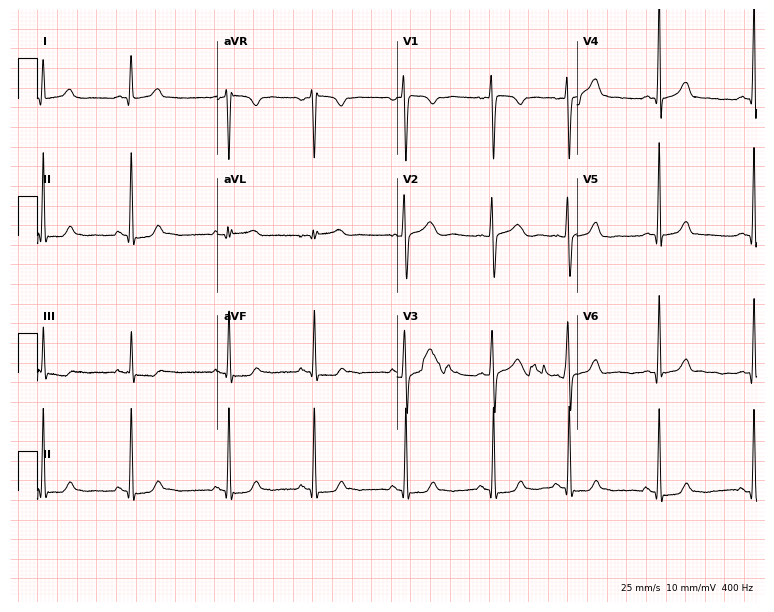
Standard 12-lead ECG recorded from a female, 20 years old (7.3-second recording at 400 Hz). Read as a normal ECG.